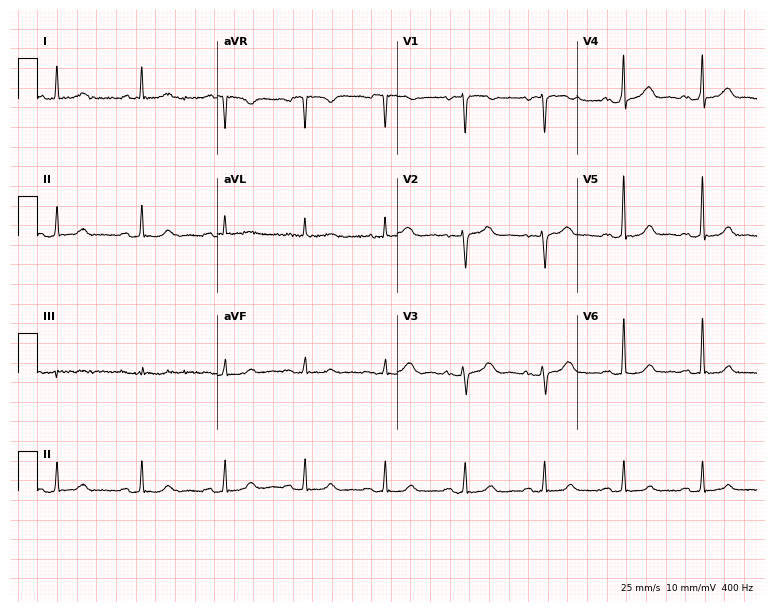
12-lead ECG from a female, 76 years old (7.3-second recording at 400 Hz). Recorded interpretation: within normal limits.